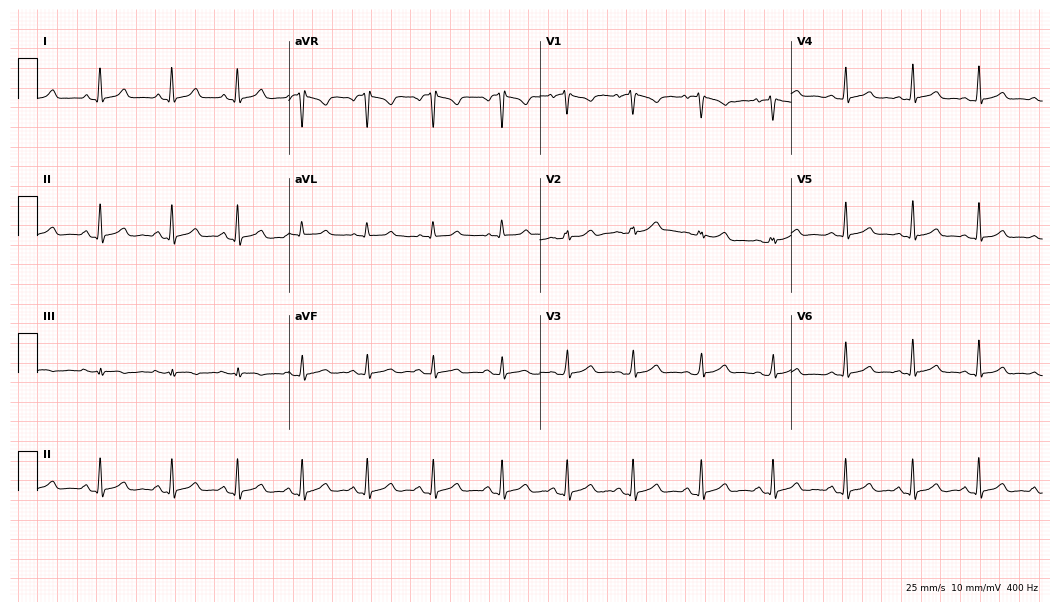
ECG (10.2-second recording at 400 Hz) — a 23-year-old female patient. Labelled as a normal ECG.